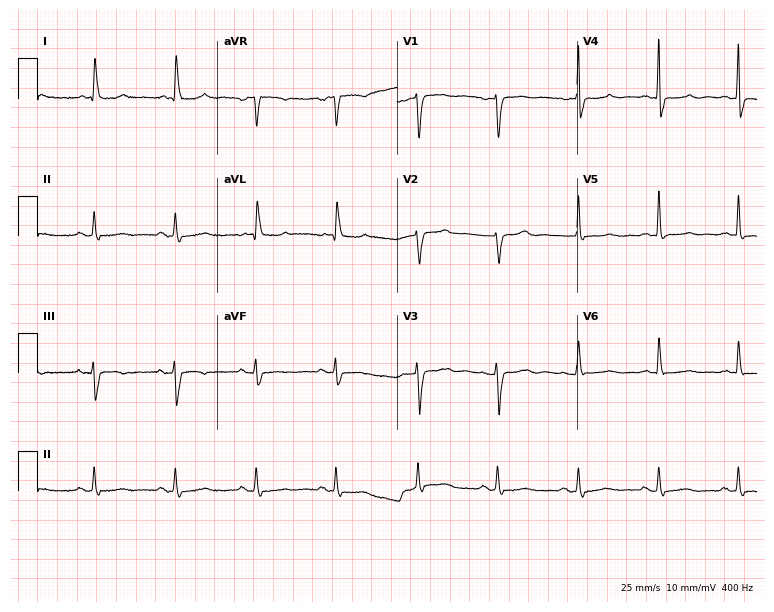
12-lead ECG from a woman, 71 years old. Screened for six findings — first-degree AV block, right bundle branch block, left bundle branch block, sinus bradycardia, atrial fibrillation, sinus tachycardia — none is recorded.